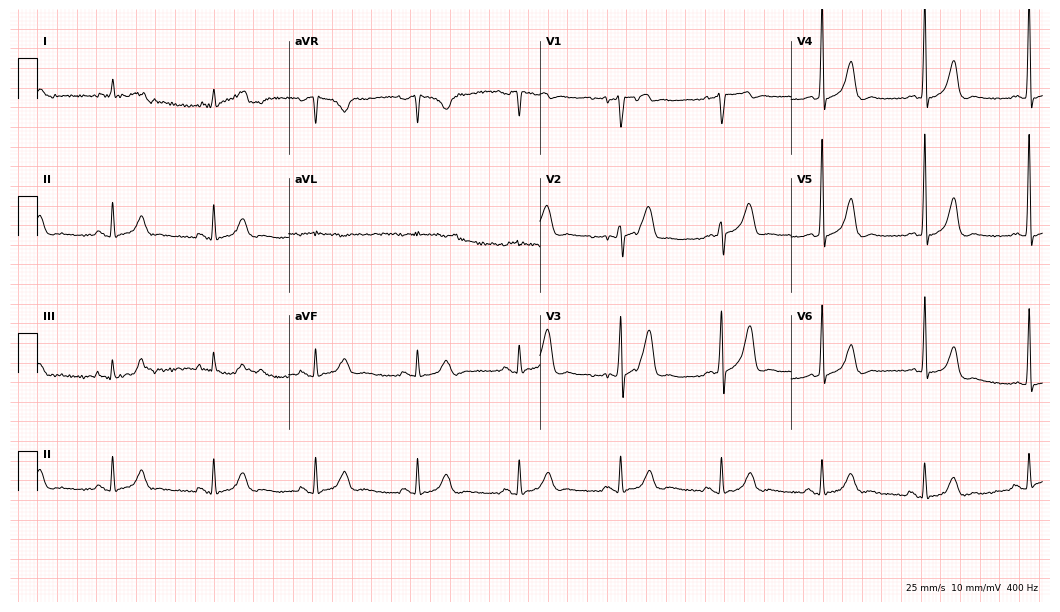
12-lead ECG from a 61-year-old male patient (10.2-second recording at 400 Hz). No first-degree AV block, right bundle branch block (RBBB), left bundle branch block (LBBB), sinus bradycardia, atrial fibrillation (AF) or sinus tachycardia recorded for this tracing.